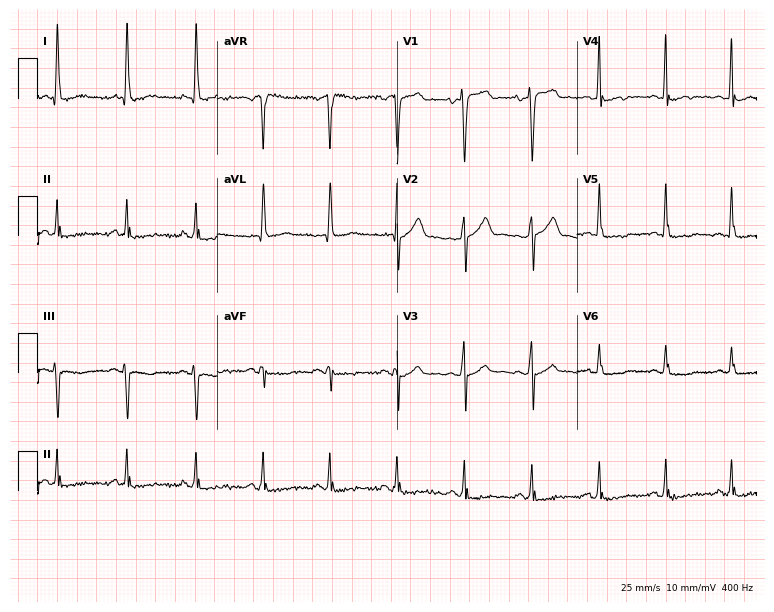
Standard 12-lead ECG recorded from a 52-year-old man (7.3-second recording at 400 Hz). None of these six findings is recorded: first-degree AV block, right bundle branch block, left bundle branch block, sinus bradycardia, atrial fibrillation, sinus tachycardia. Only these six findings were labelled.